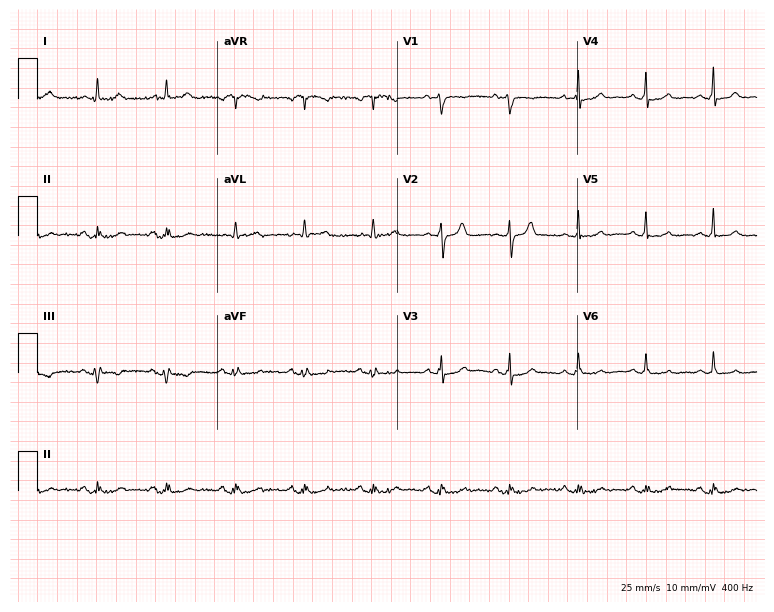
12-lead ECG from a female, 74 years old. Recorded interpretation: within normal limits.